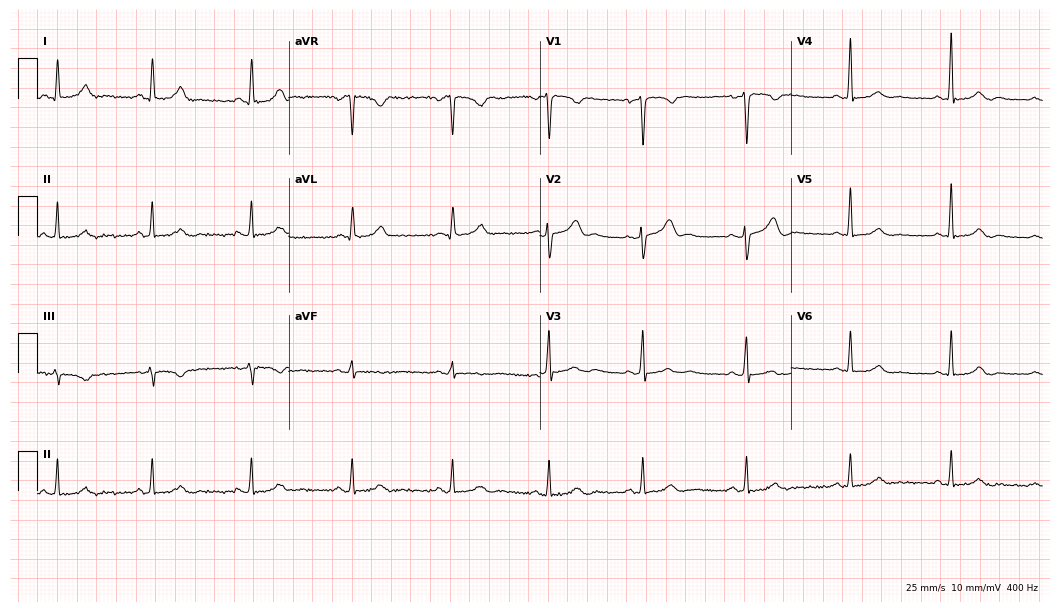
Standard 12-lead ECG recorded from a female, 49 years old. None of these six findings is recorded: first-degree AV block, right bundle branch block (RBBB), left bundle branch block (LBBB), sinus bradycardia, atrial fibrillation (AF), sinus tachycardia. Only these six findings were labelled.